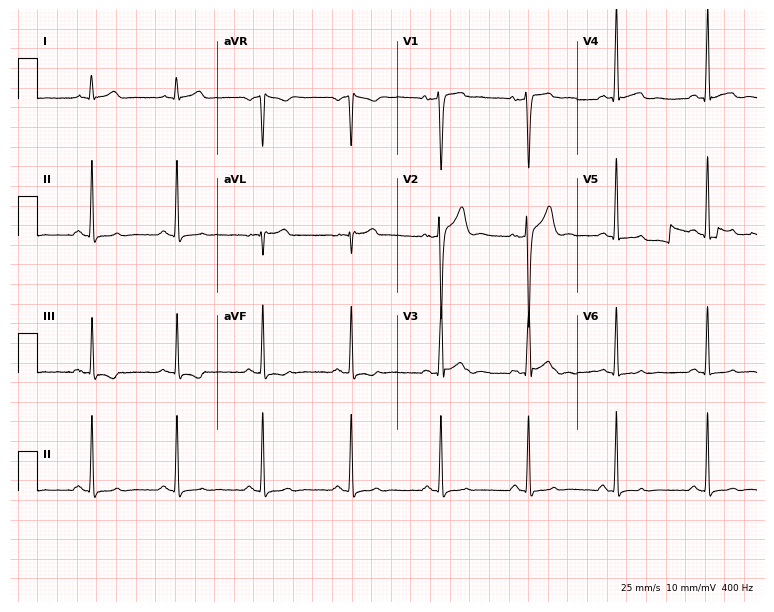
Resting 12-lead electrocardiogram (7.3-second recording at 400 Hz). Patient: a male, 21 years old. None of these six findings is recorded: first-degree AV block, right bundle branch block, left bundle branch block, sinus bradycardia, atrial fibrillation, sinus tachycardia. Findings outside these six are not listed.